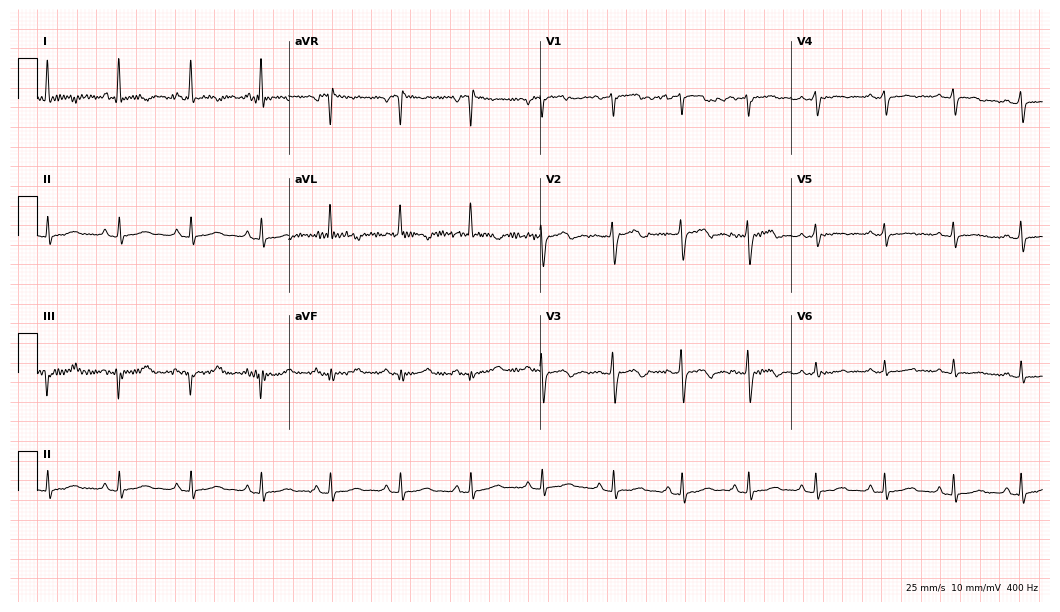
ECG — a female patient, 51 years old. Screened for six findings — first-degree AV block, right bundle branch block, left bundle branch block, sinus bradycardia, atrial fibrillation, sinus tachycardia — none is recorded. Findings outside these six are not listed.